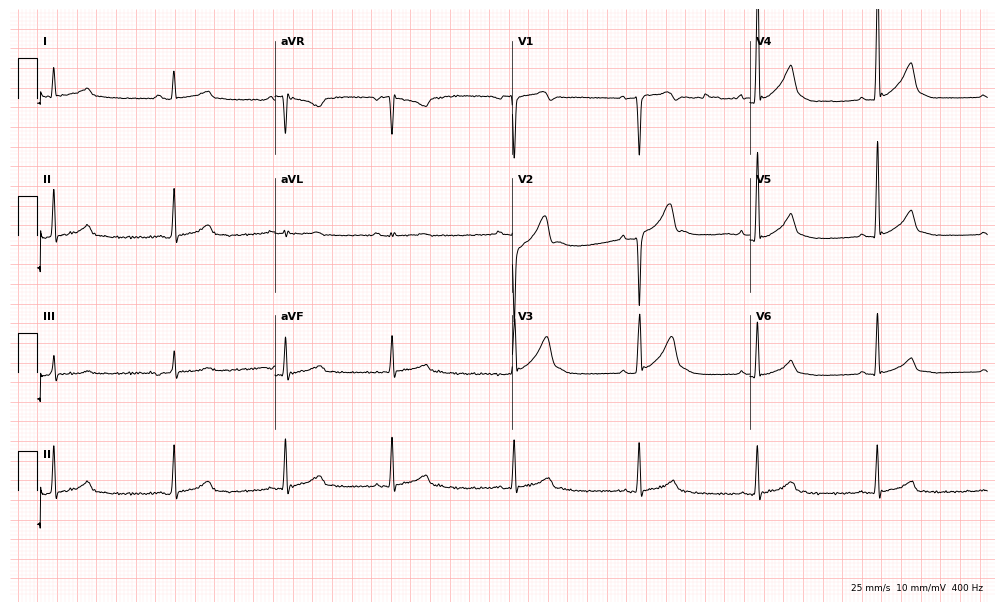
ECG (9.7-second recording at 400 Hz) — a male patient, 17 years old. Screened for six findings — first-degree AV block, right bundle branch block (RBBB), left bundle branch block (LBBB), sinus bradycardia, atrial fibrillation (AF), sinus tachycardia — none is recorded. Other findings, if any, are not listed.